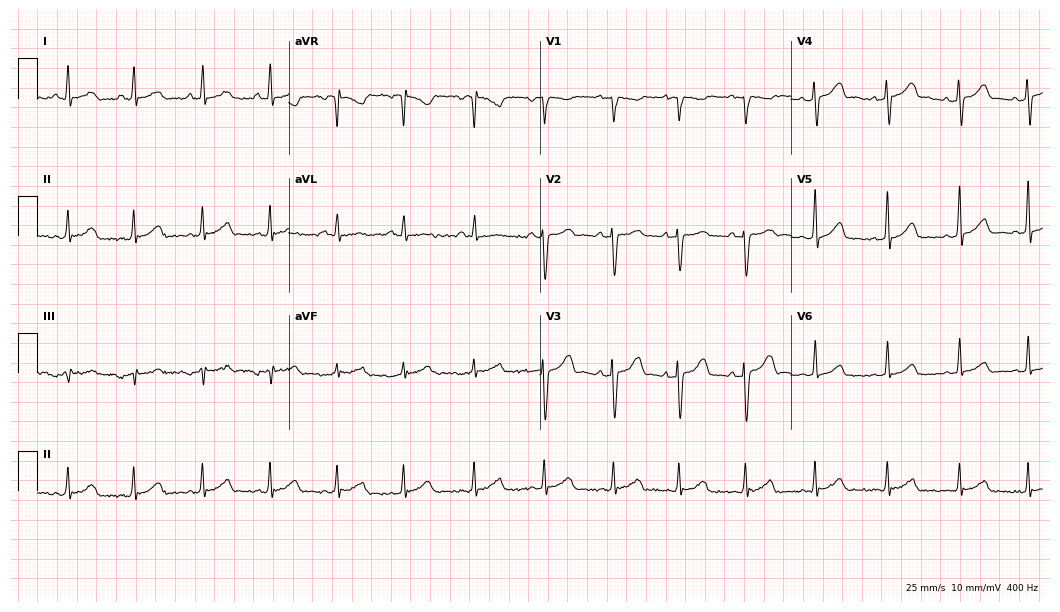
12-lead ECG from a woman, 41 years old (10.2-second recording at 400 Hz). No first-degree AV block, right bundle branch block (RBBB), left bundle branch block (LBBB), sinus bradycardia, atrial fibrillation (AF) or sinus tachycardia recorded for this tracing. Findings outside these six are not listed.